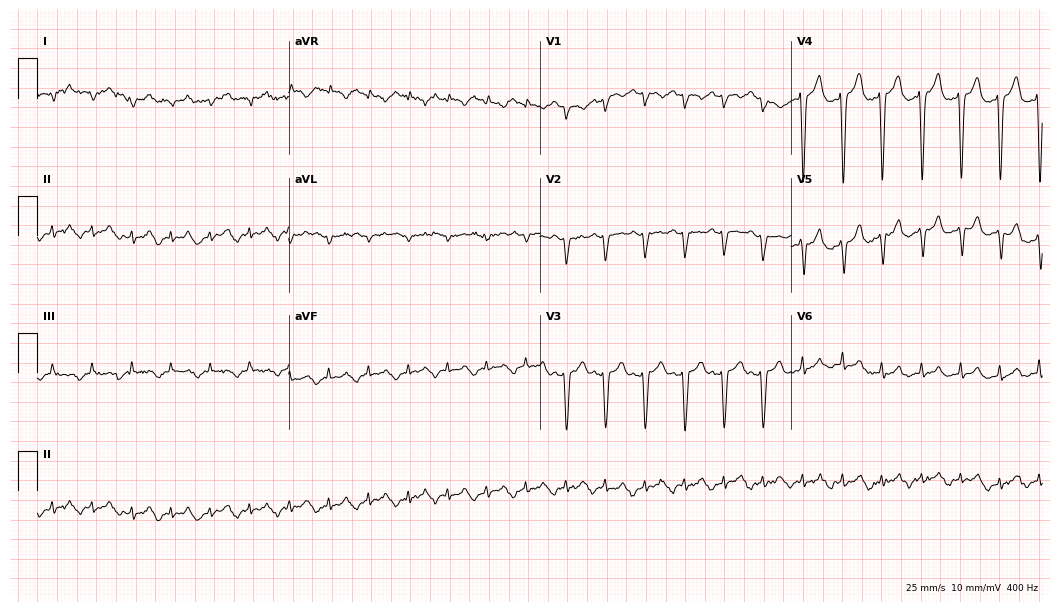
ECG — a male, 71 years old. Findings include sinus tachycardia (a sinus rate of 100 beats per minute or more).